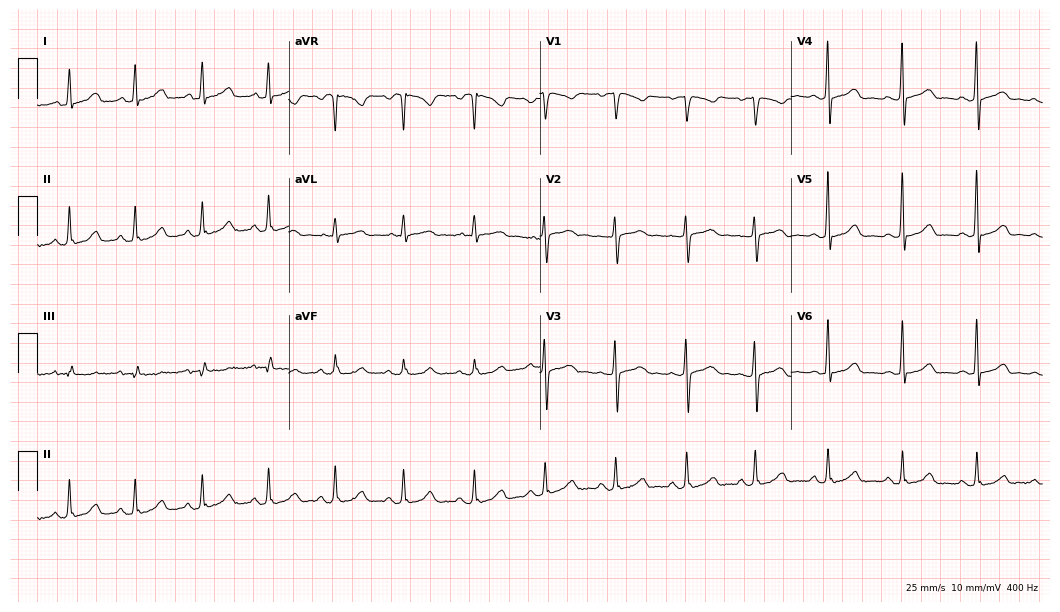
Standard 12-lead ECG recorded from a 43-year-old female patient (10.2-second recording at 400 Hz). Read as a normal ECG.